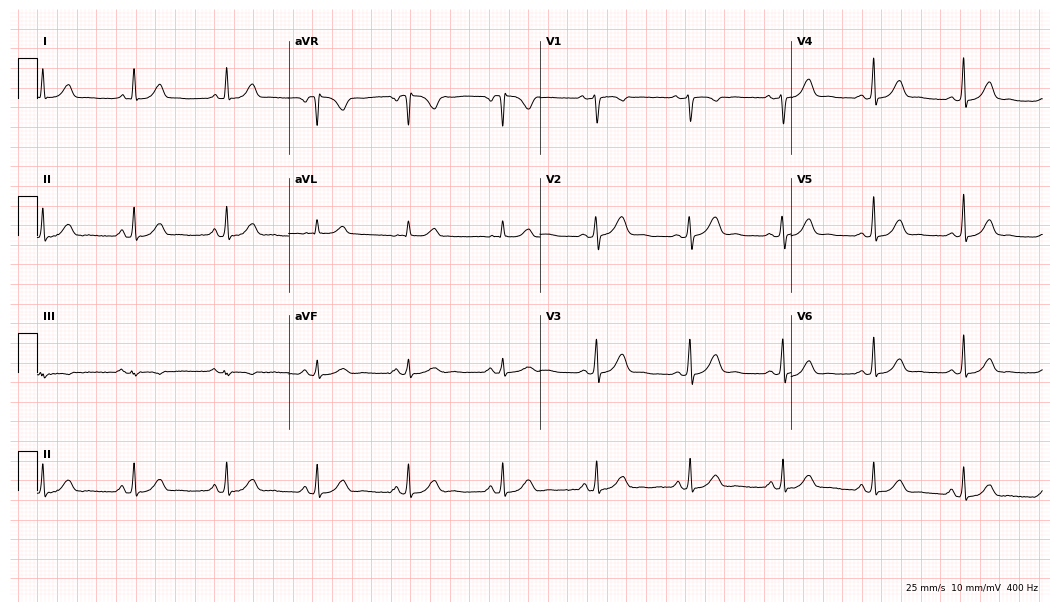
Resting 12-lead electrocardiogram (10.2-second recording at 400 Hz). Patient: a 44-year-old female. None of these six findings is recorded: first-degree AV block, right bundle branch block, left bundle branch block, sinus bradycardia, atrial fibrillation, sinus tachycardia.